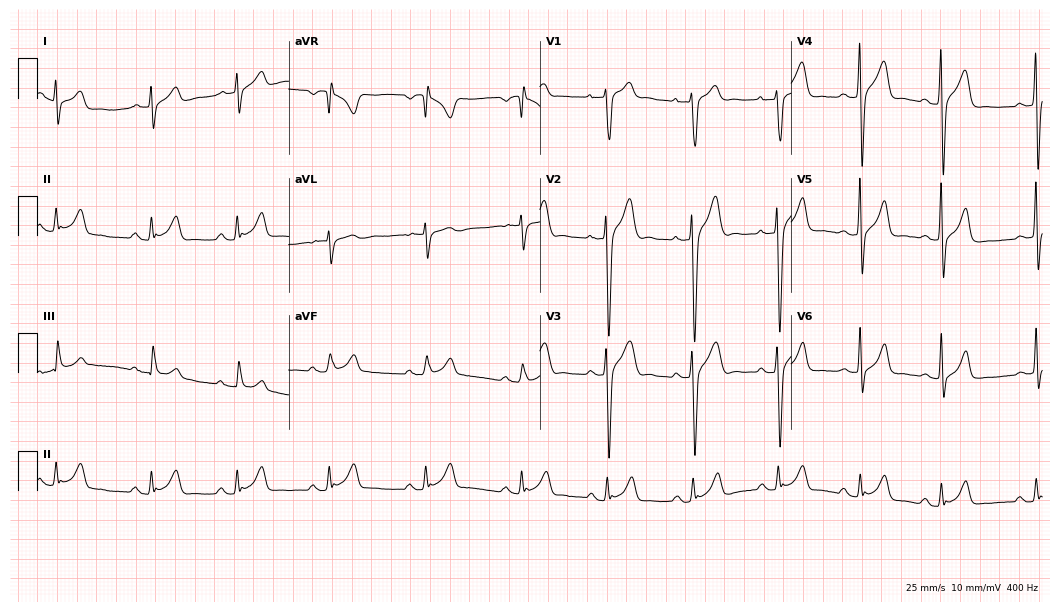
ECG (10.2-second recording at 400 Hz) — a male, 25 years old. Screened for six findings — first-degree AV block, right bundle branch block, left bundle branch block, sinus bradycardia, atrial fibrillation, sinus tachycardia — none is recorded.